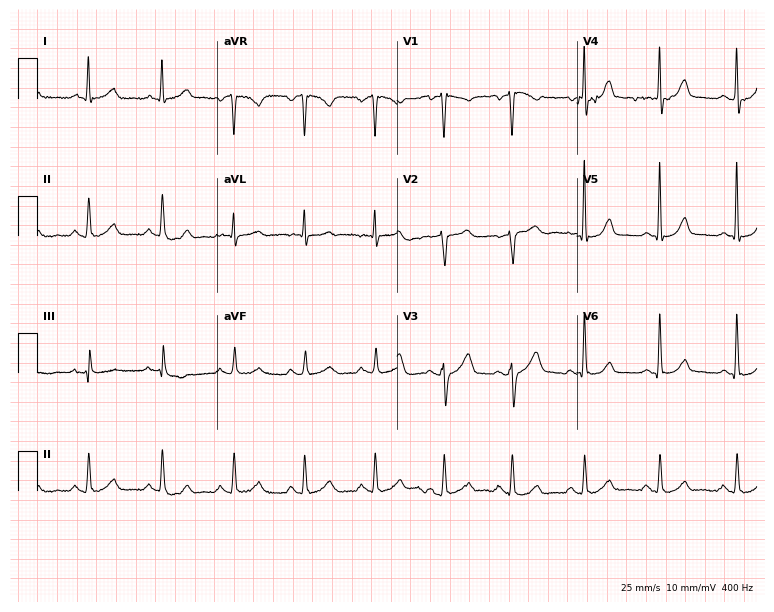
12-lead ECG from a 47-year-old male patient (7.3-second recording at 400 Hz). No first-degree AV block, right bundle branch block (RBBB), left bundle branch block (LBBB), sinus bradycardia, atrial fibrillation (AF) or sinus tachycardia recorded for this tracing. Other findings, if any, are not listed.